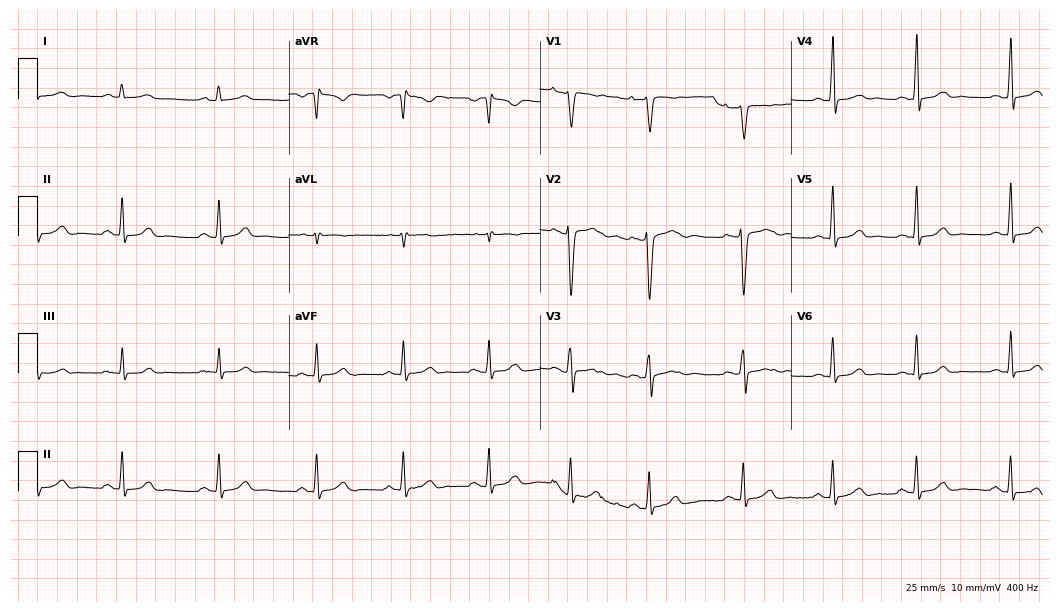
ECG — a female patient, 27 years old. Screened for six findings — first-degree AV block, right bundle branch block, left bundle branch block, sinus bradycardia, atrial fibrillation, sinus tachycardia — none is recorded. Findings outside these six are not listed.